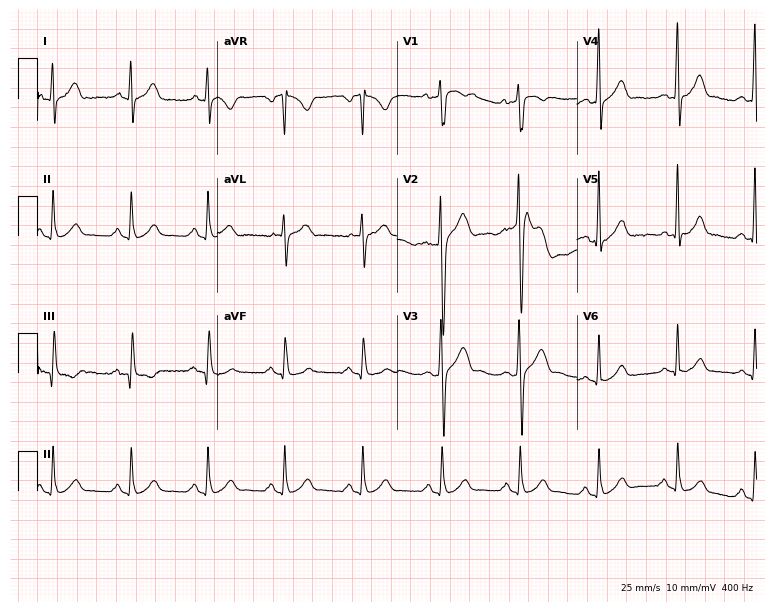
Electrocardiogram (7.3-second recording at 400 Hz), a 32-year-old male. Of the six screened findings (first-degree AV block, right bundle branch block, left bundle branch block, sinus bradycardia, atrial fibrillation, sinus tachycardia), none is recorded. Only these six findings were labelled.